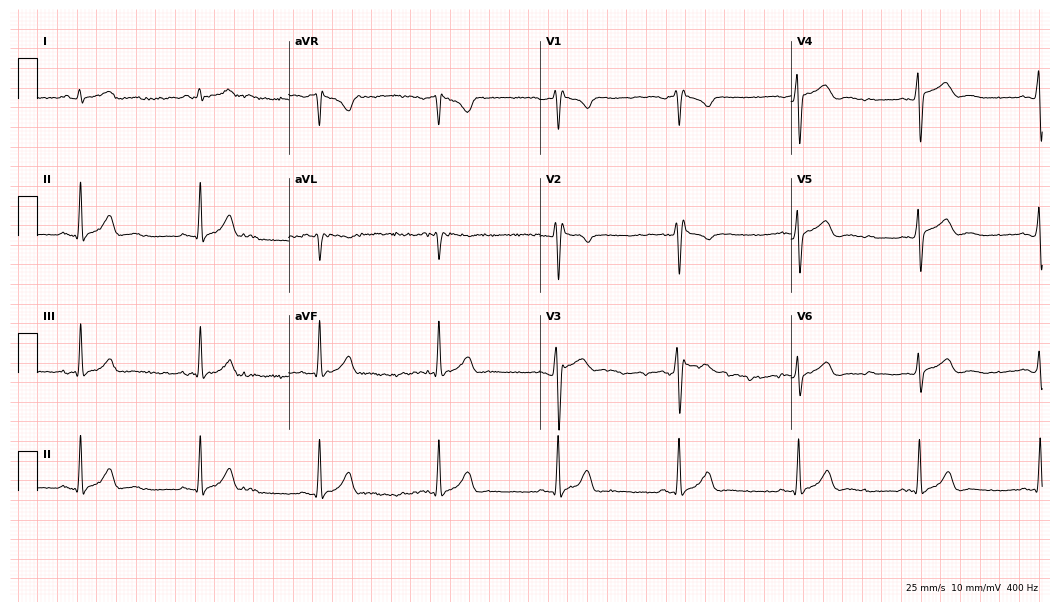
12-lead ECG from a male, 33 years old. Findings include sinus bradycardia (a sinus rate of 50 beats per minute or less).